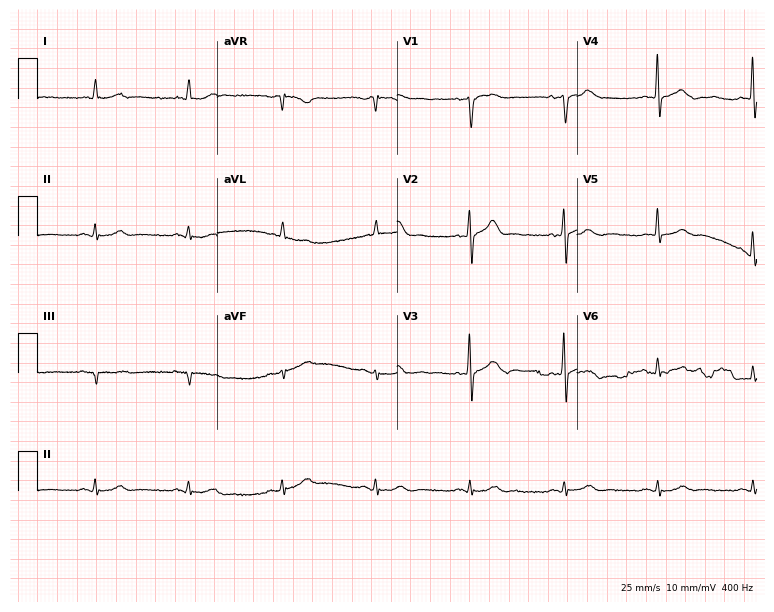
12-lead ECG from a male, 84 years old. Recorded interpretation: within normal limits.